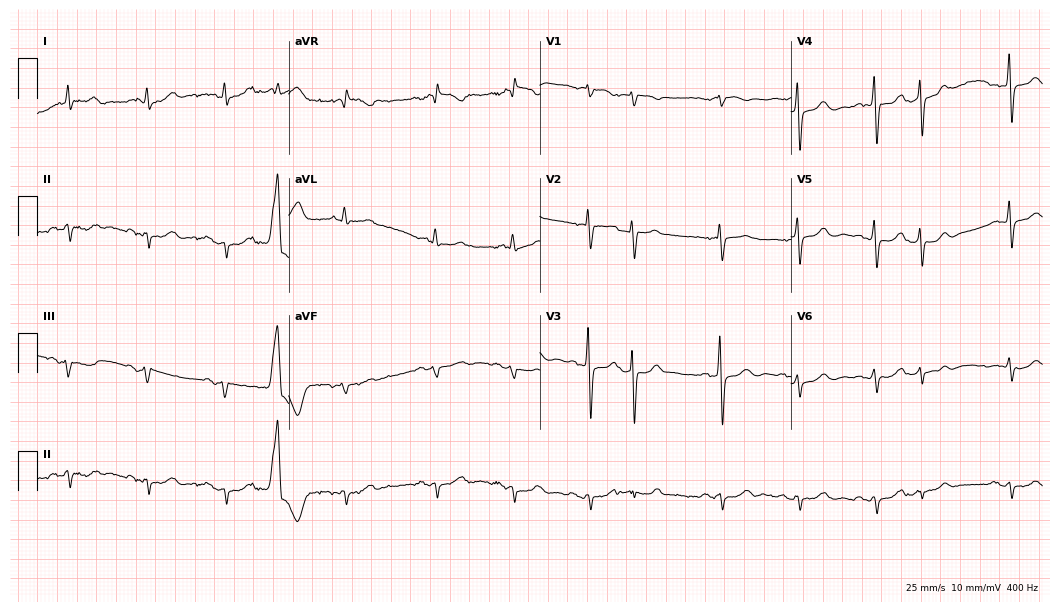
Standard 12-lead ECG recorded from a female, 76 years old. None of these six findings is recorded: first-degree AV block, right bundle branch block, left bundle branch block, sinus bradycardia, atrial fibrillation, sinus tachycardia.